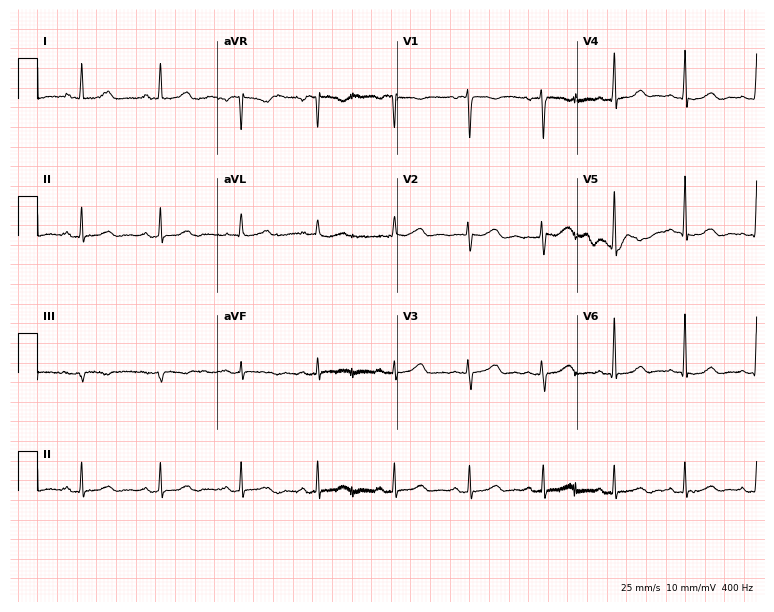
Electrocardiogram, a 78-year-old female. Of the six screened findings (first-degree AV block, right bundle branch block, left bundle branch block, sinus bradycardia, atrial fibrillation, sinus tachycardia), none is recorded. Only these six findings were labelled.